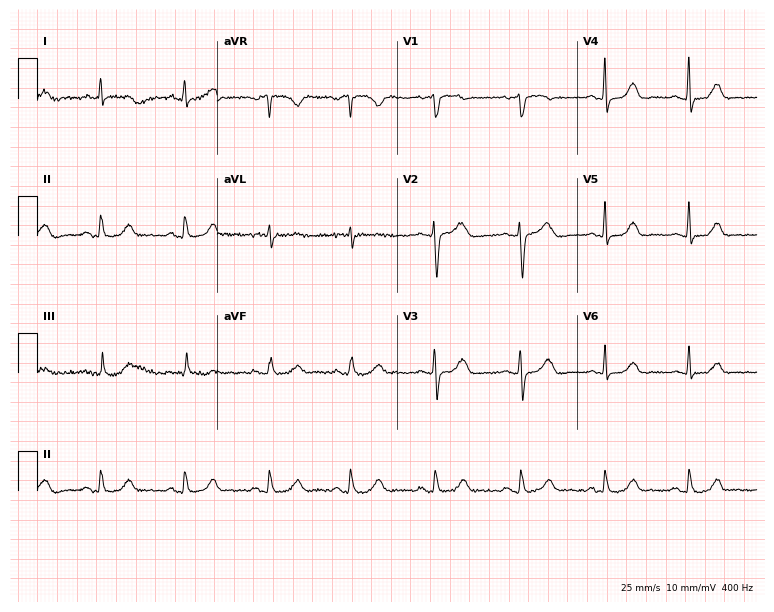
12-lead ECG from a 40-year-old woman. Recorded interpretation: within normal limits.